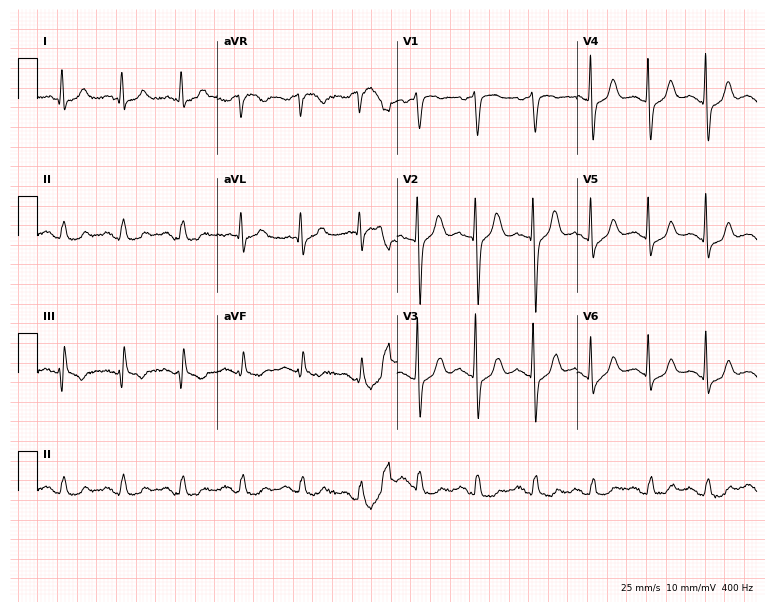
12-lead ECG from a woman, 70 years old. Labelled as a normal ECG.